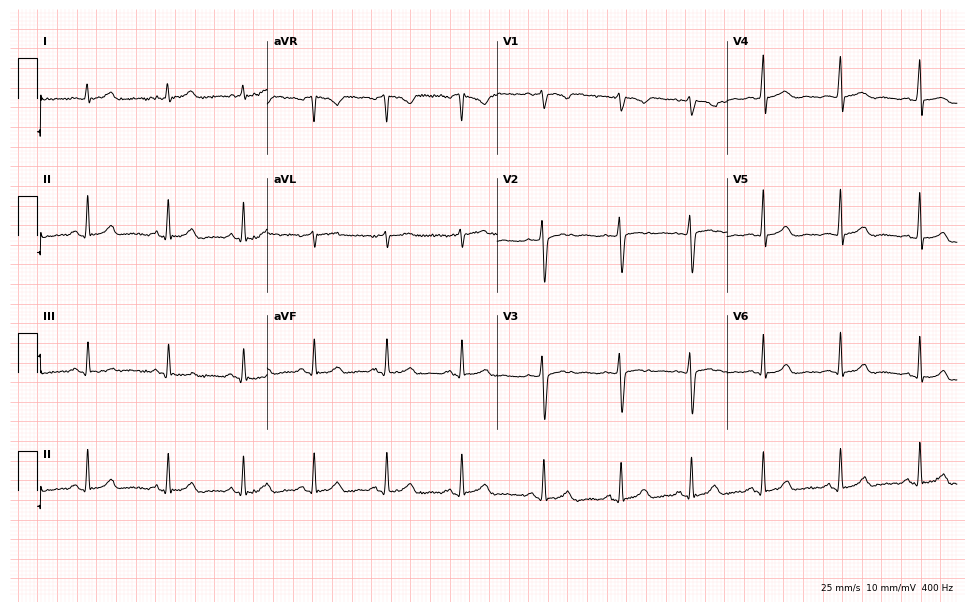
Standard 12-lead ECG recorded from a 23-year-old female patient. None of these six findings is recorded: first-degree AV block, right bundle branch block, left bundle branch block, sinus bradycardia, atrial fibrillation, sinus tachycardia.